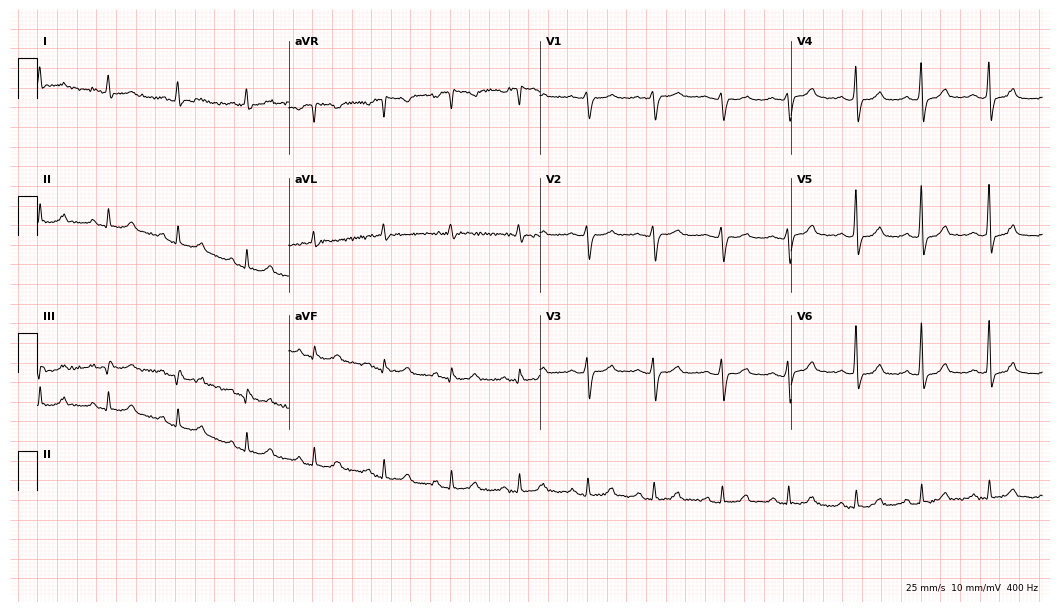
Standard 12-lead ECG recorded from a woman, 80 years old (10.2-second recording at 400 Hz). None of these six findings is recorded: first-degree AV block, right bundle branch block (RBBB), left bundle branch block (LBBB), sinus bradycardia, atrial fibrillation (AF), sinus tachycardia.